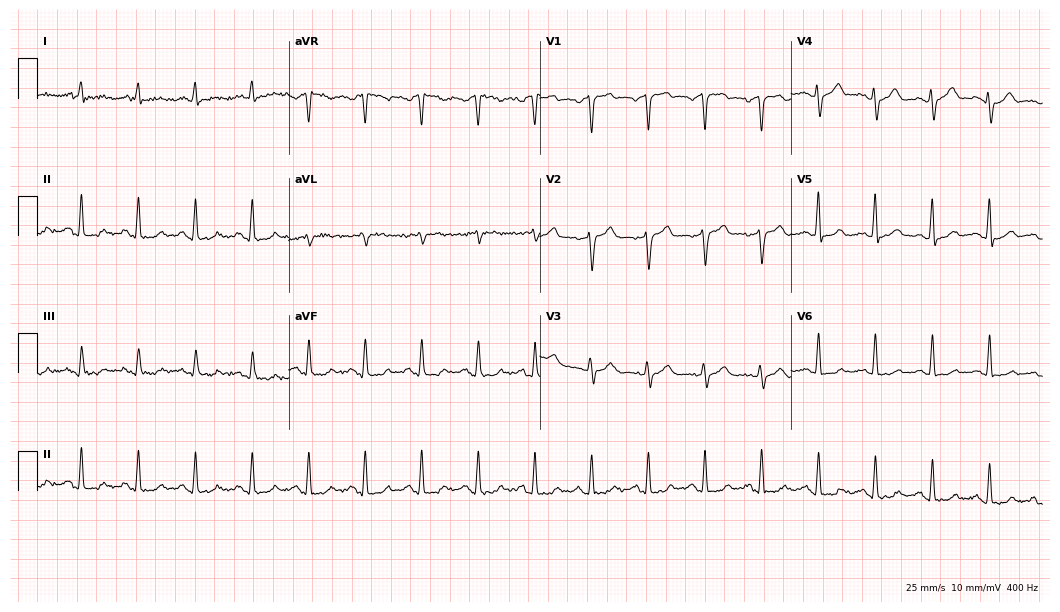
12-lead ECG (10.2-second recording at 400 Hz) from a 55-year-old male. Findings include sinus tachycardia (a sinus rate of 100 beats per minute or more).